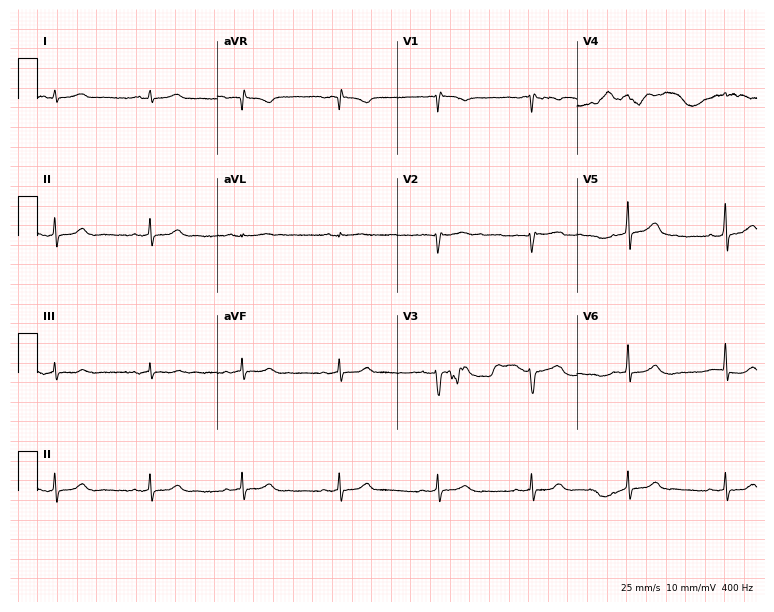
Standard 12-lead ECG recorded from a 27-year-old woman (7.3-second recording at 400 Hz). None of these six findings is recorded: first-degree AV block, right bundle branch block, left bundle branch block, sinus bradycardia, atrial fibrillation, sinus tachycardia. Other findings, if any, are not listed.